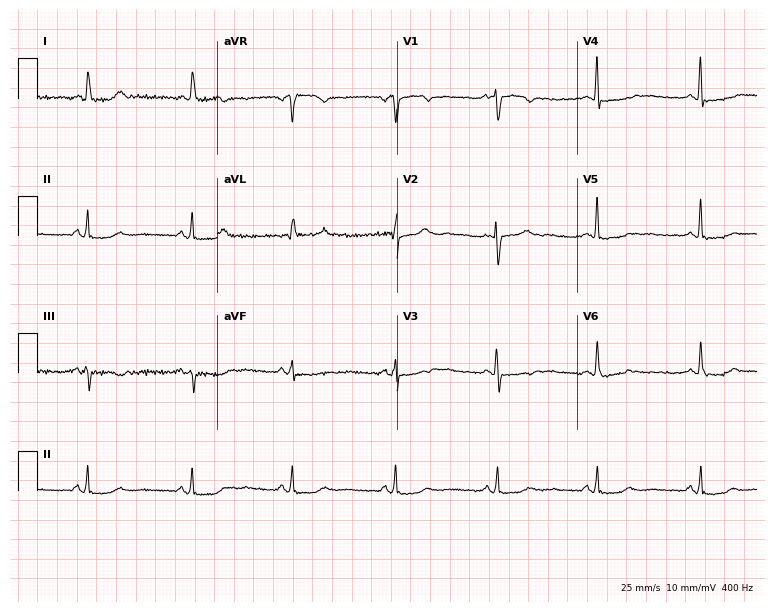
Electrocardiogram (7.3-second recording at 400 Hz), a 59-year-old female patient. Of the six screened findings (first-degree AV block, right bundle branch block (RBBB), left bundle branch block (LBBB), sinus bradycardia, atrial fibrillation (AF), sinus tachycardia), none is recorded. Other findings, if any, are not listed.